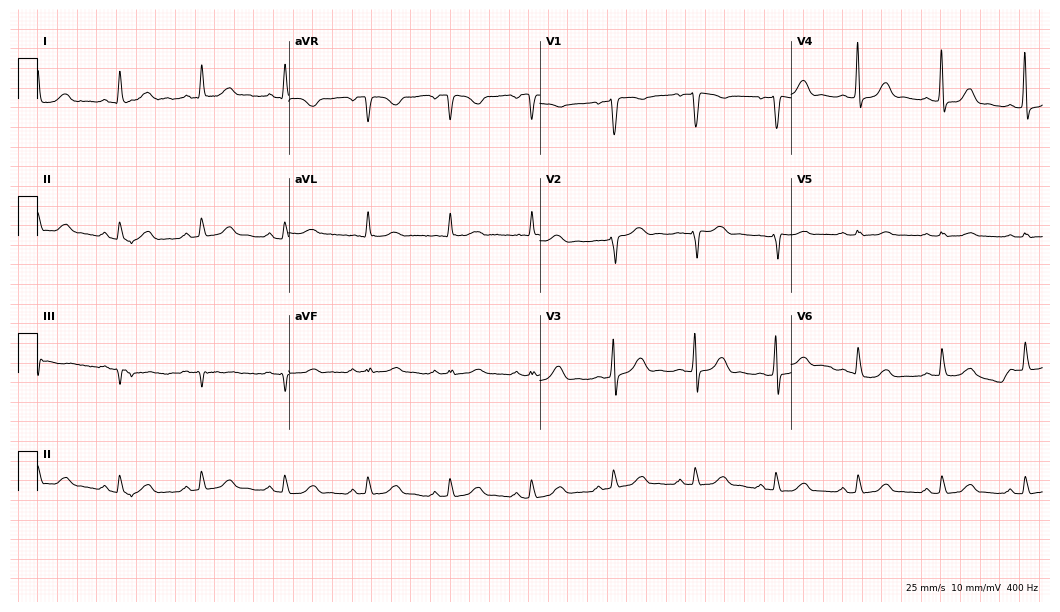
ECG (10.2-second recording at 400 Hz) — a 67-year-old female patient. Screened for six findings — first-degree AV block, right bundle branch block, left bundle branch block, sinus bradycardia, atrial fibrillation, sinus tachycardia — none is recorded. Findings outside these six are not listed.